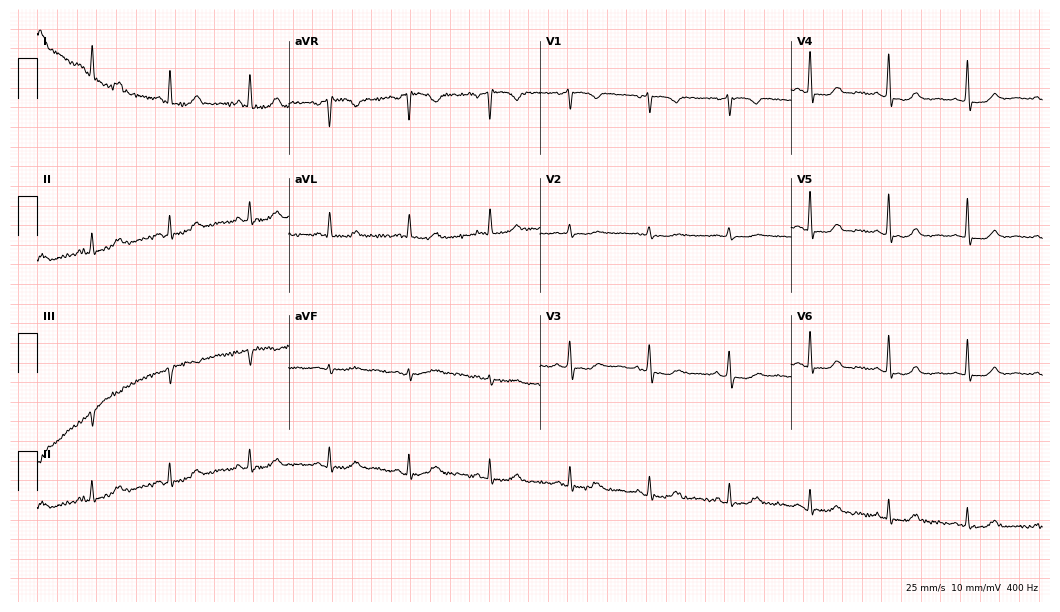
12-lead ECG from a female patient, 77 years old. No first-degree AV block, right bundle branch block (RBBB), left bundle branch block (LBBB), sinus bradycardia, atrial fibrillation (AF) or sinus tachycardia recorded for this tracing. Findings outside these six are not listed.